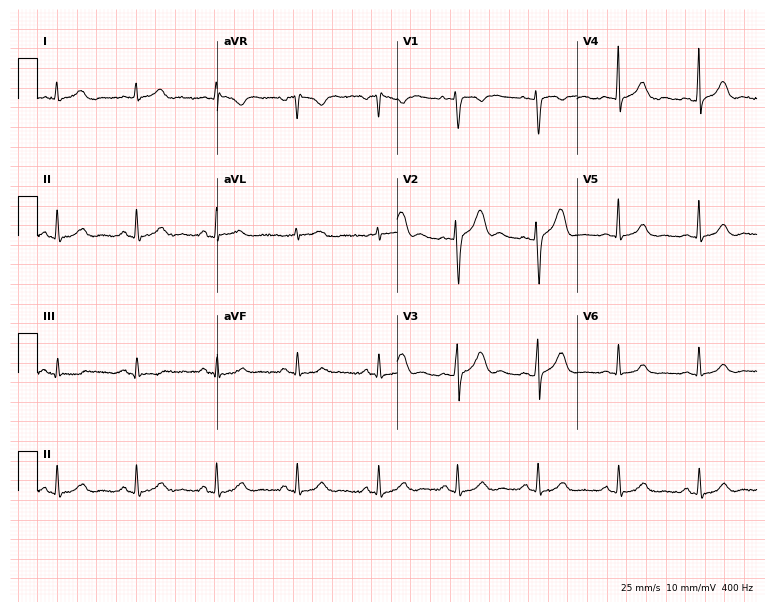
12-lead ECG from a female patient, 40 years old. No first-degree AV block, right bundle branch block, left bundle branch block, sinus bradycardia, atrial fibrillation or sinus tachycardia recorded for this tracing.